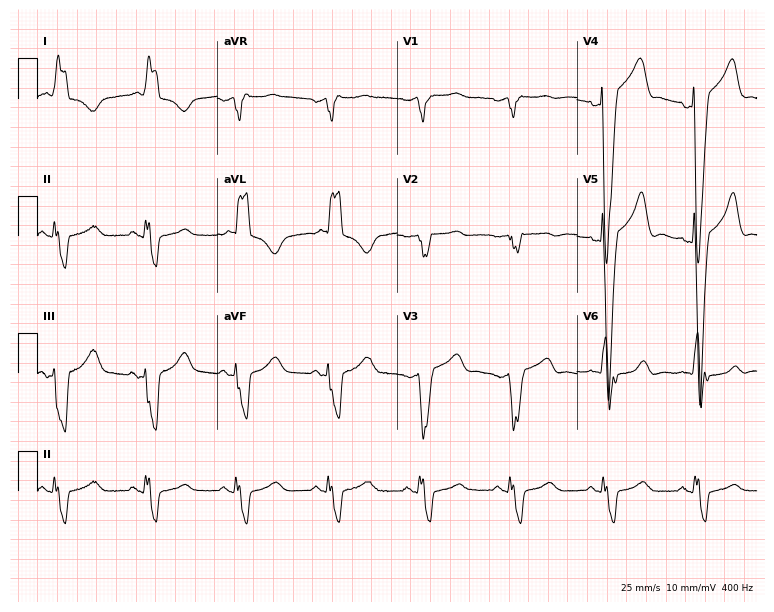
12-lead ECG from a 76-year-old man (7.3-second recording at 400 Hz). Shows left bundle branch block.